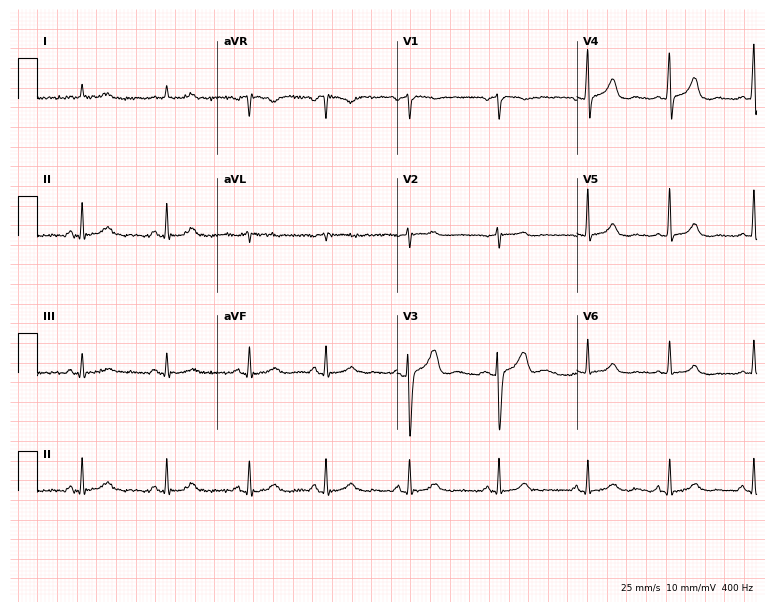
12-lead ECG from a female patient, 48 years old (7.3-second recording at 400 Hz). No first-degree AV block, right bundle branch block, left bundle branch block, sinus bradycardia, atrial fibrillation or sinus tachycardia recorded for this tracing. Other findings, if any, are not listed.